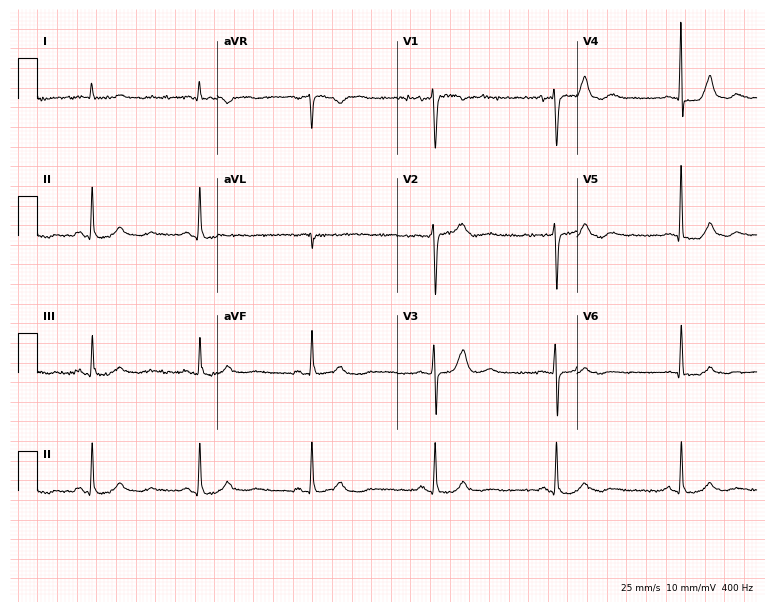
12-lead ECG from a 77-year-old man. Labelled as a normal ECG.